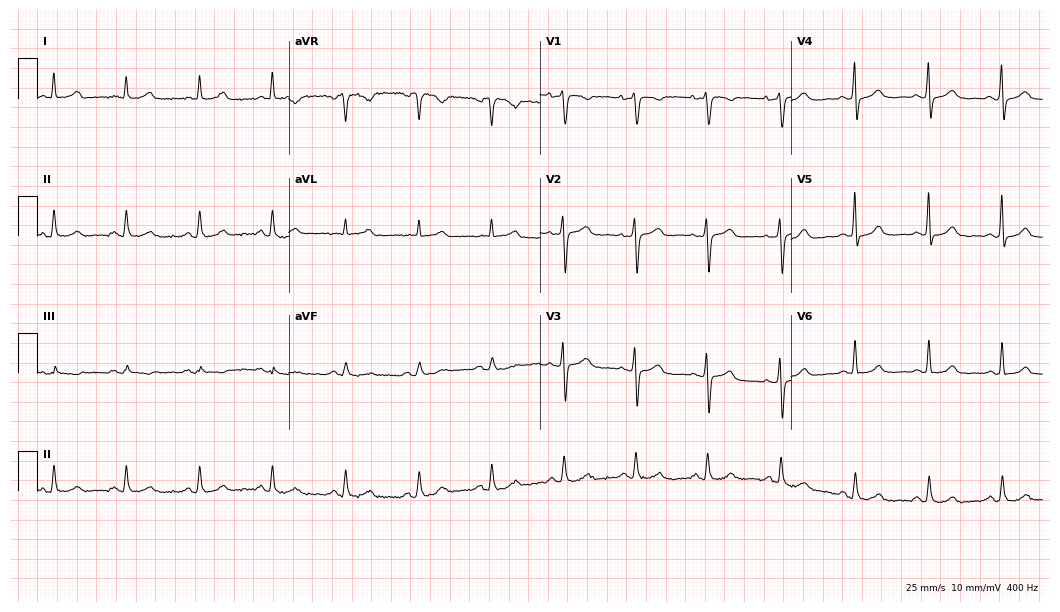
12-lead ECG from a 66-year-old female patient. Labelled as a normal ECG.